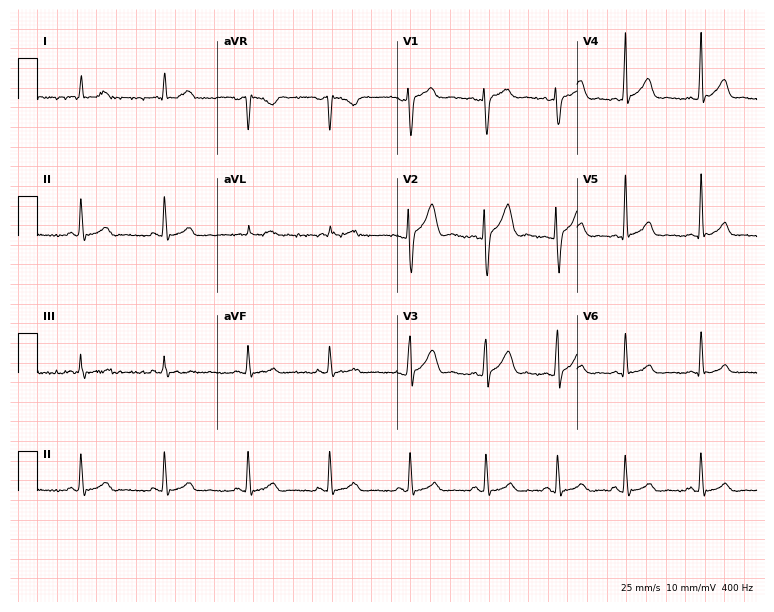
Standard 12-lead ECG recorded from a 31-year-old male (7.3-second recording at 400 Hz). None of these six findings is recorded: first-degree AV block, right bundle branch block, left bundle branch block, sinus bradycardia, atrial fibrillation, sinus tachycardia.